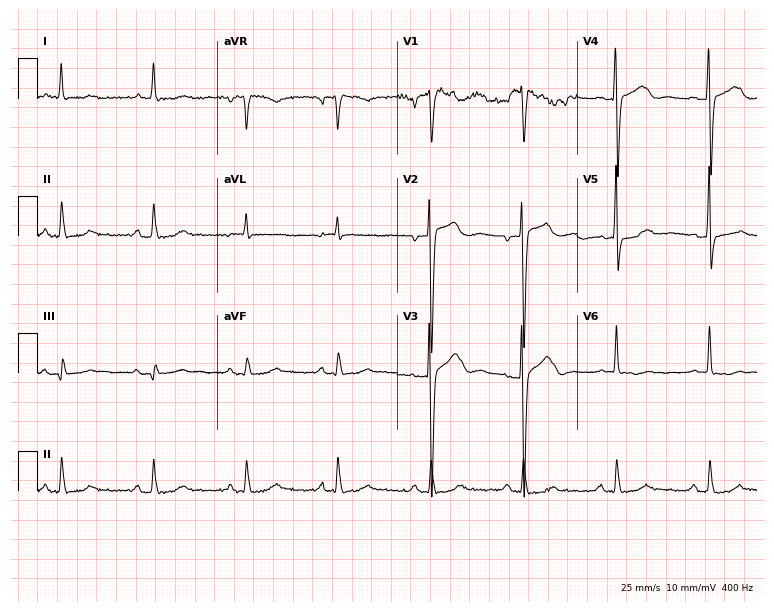
12-lead ECG (7.3-second recording at 400 Hz) from a woman, 75 years old. Screened for six findings — first-degree AV block, right bundle branch block, left bundle branch block, sinus bradycardia, atrial fibrillation, sinus tachycardia — none is recorded.